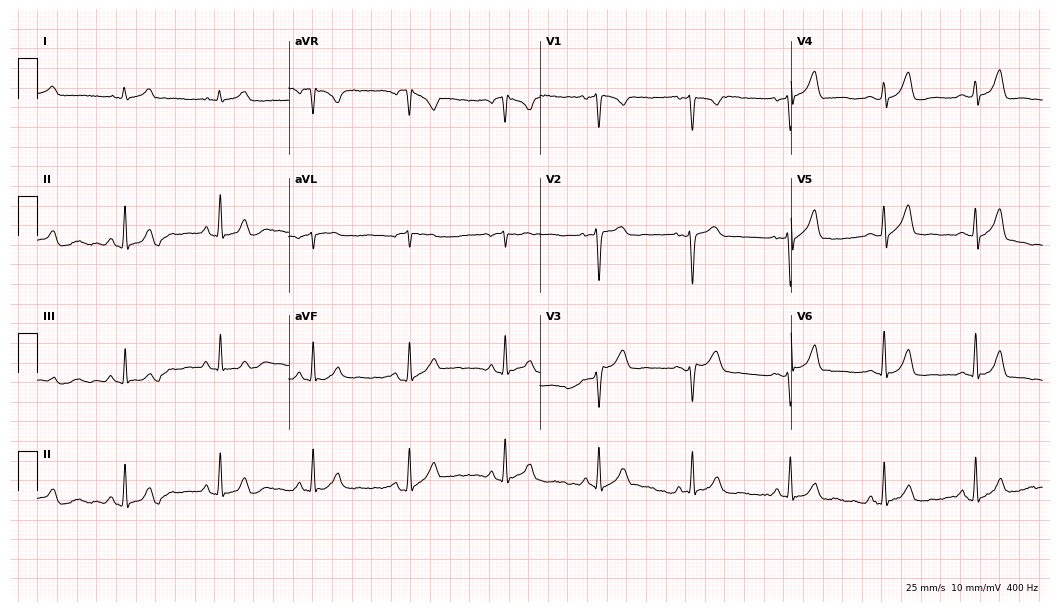
ECG (10.2-second recording at 400 Hz) — a 33-year-old female. Labelled as a normal ECG.